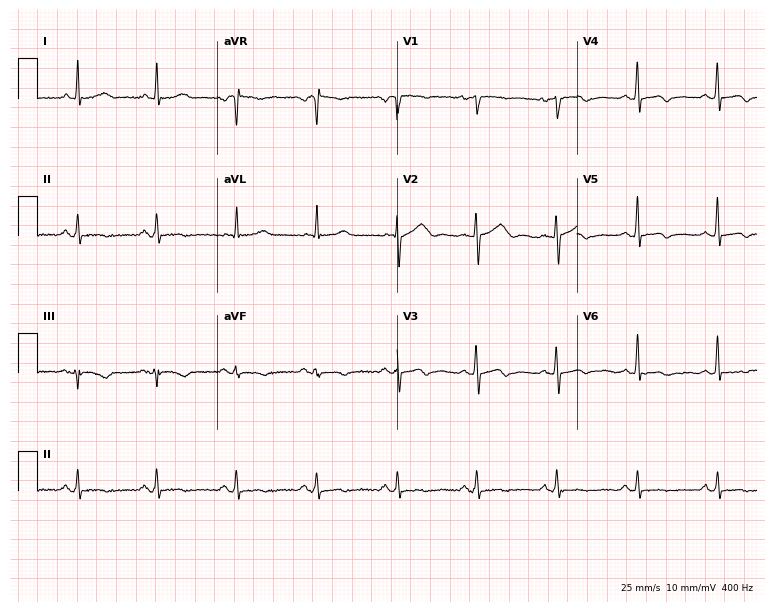
Electrocardiogram (7.3-second recording at 400 Hz), a female patient, 65 years old. Of the six screened findings (first-degree AV block, right bundle branch block (RBBB), left bundle branch block (LBBB), sinus bradycardia, atrial fibrillation (AF), sinus tachycardia), none is recorded.